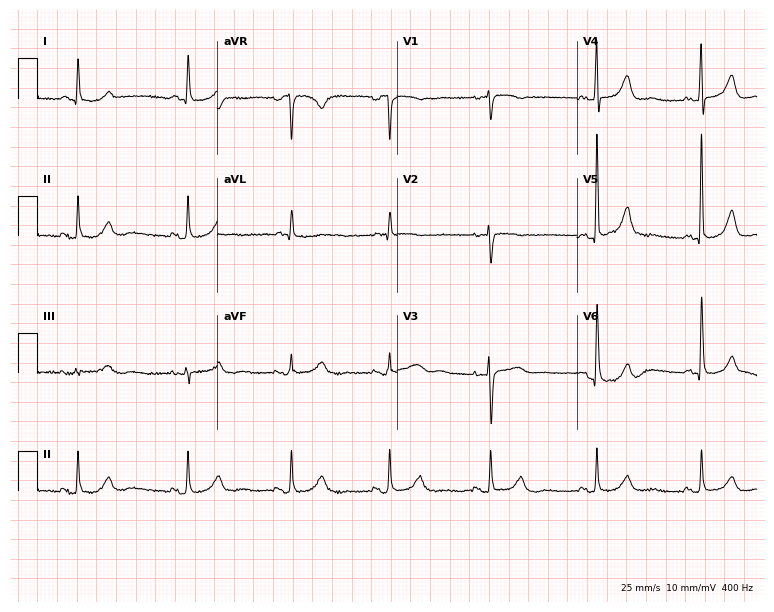
Electrocardiogram (7.3-second recording at 400 Hz), an 80-year-old woman. Overall reading on record: normal ECG.